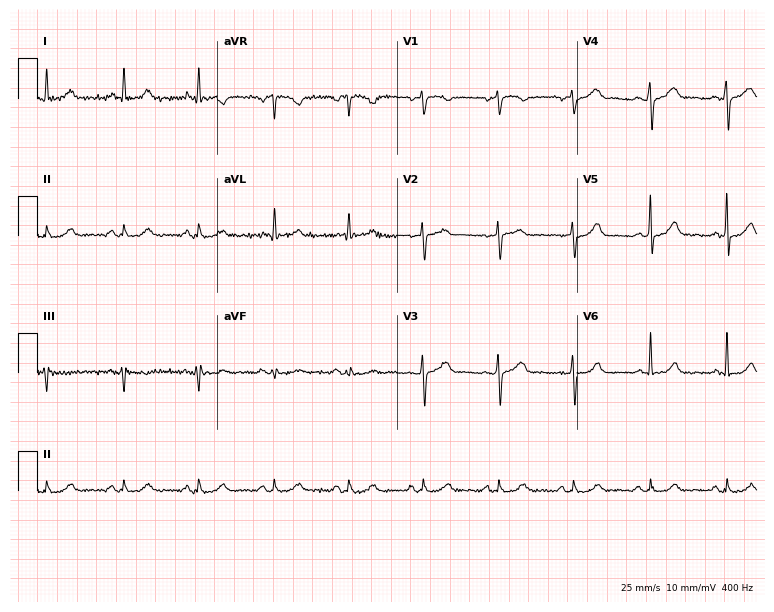
12-lead ECG from a 59-year-old female (7.3-second recording at 400 Hz). Recorded interpretation: within normal limits.